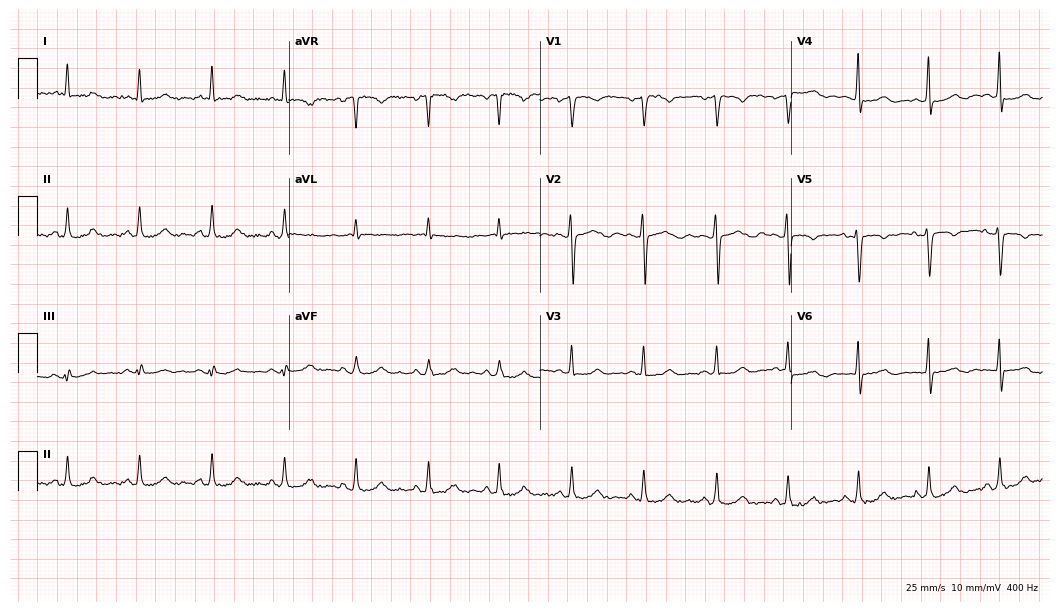
Resting 12-lead electrocardiogram (10.2-second recording at 400 Hz). Patient: a female, 45 years old. None of these six findings is recorded: first-degree AV block, right bundle branch block (RBBB), left bundle branch block (LBBB), sinus bradycardia, atrial fibrillation (AF), sinus tachycardia.